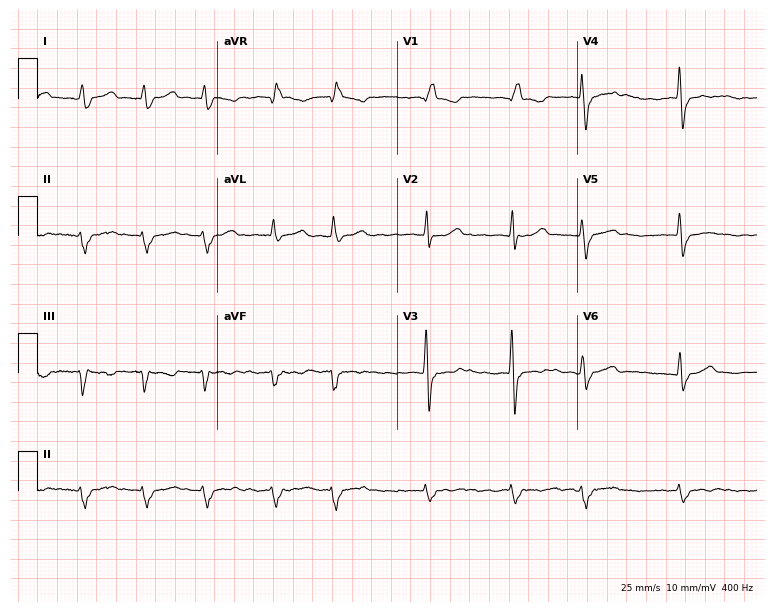
Standard 12-lead ECG recorded from an 85-year-old female. The tracing shows right bundle branch block, atrial fibrillation.